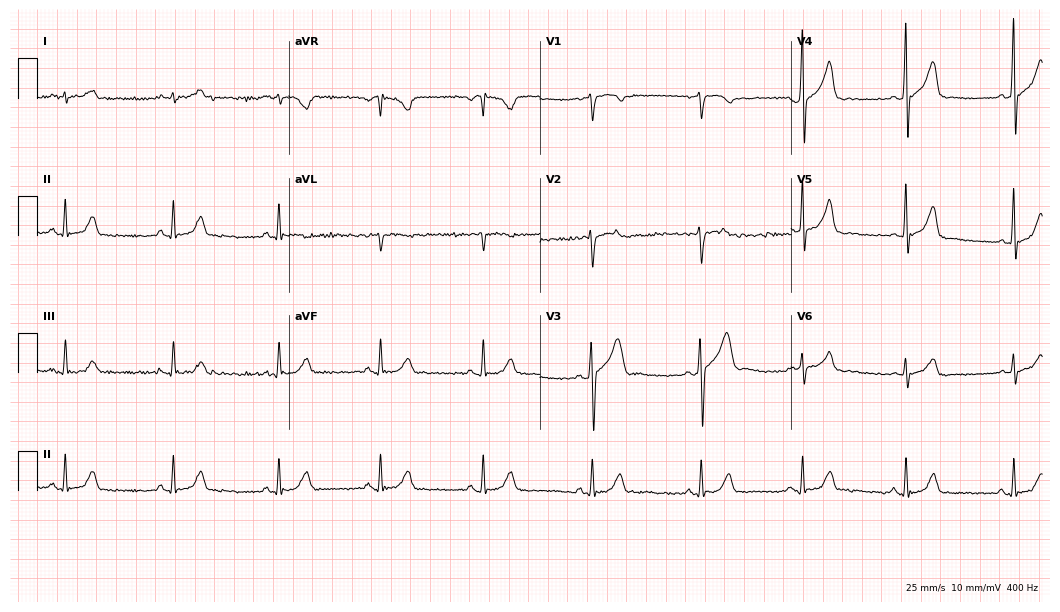
Resting 12-lead electrocardiogram. Patient: a male, 24 years old. None of these six findings is recorded: first-degree AV block, right bundle branch block (RBBB), left bundle branch block (LBBB), sinus bradycardia, atrial fibrillation (AF), sinus tachycardia. Findings outside these six are not listed.